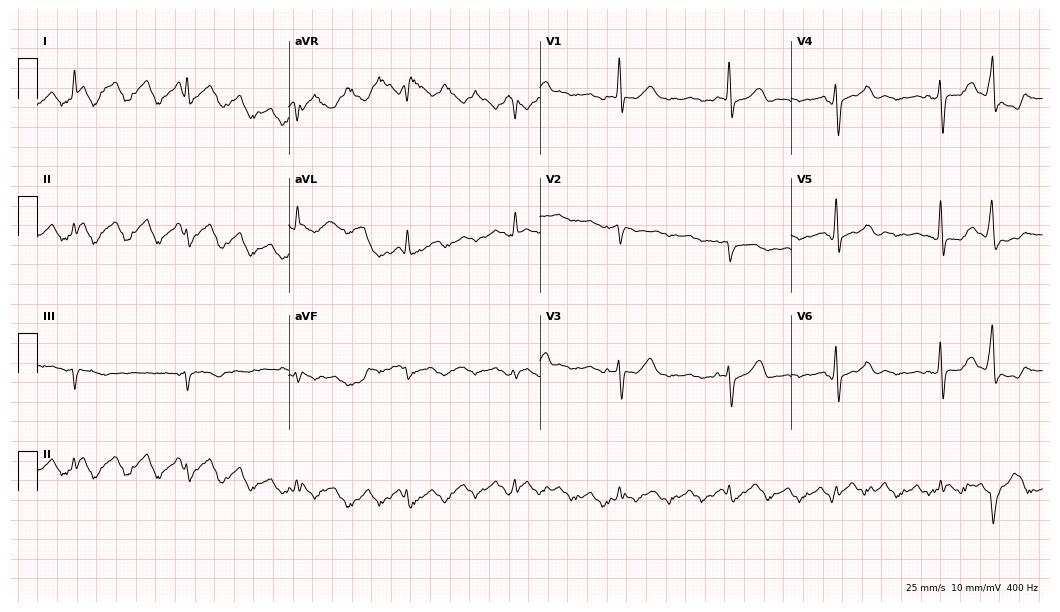
Standard 12-lead ECG recorded from an 80-year-old male patient (10.2-second recording at 400 Hz). None of these six findings is recorded: first-degree AV block, right bundle branch block, left bundle branch block, sinus bradycardia, atrial fibrillation, sinus tachycardia.